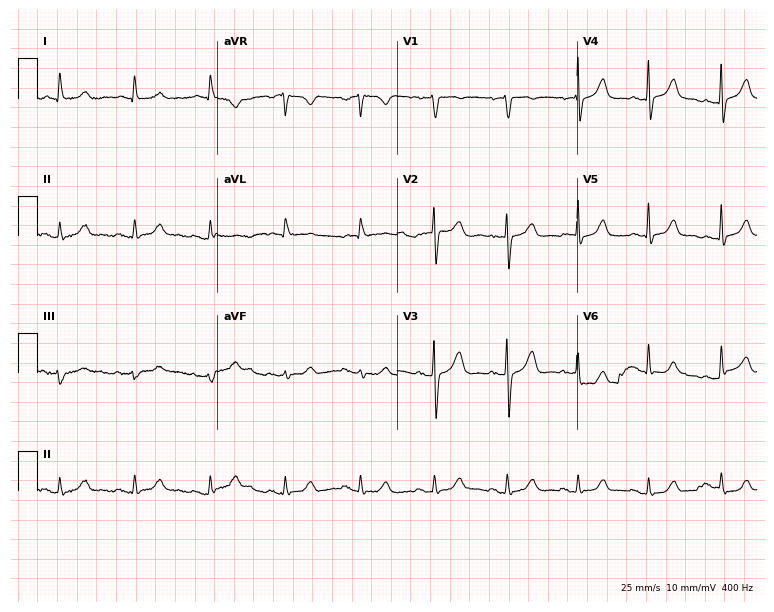
ECG (7.3-second recording at 400 Hz) — a male, 75 years old. Labelled as a normal ECG.